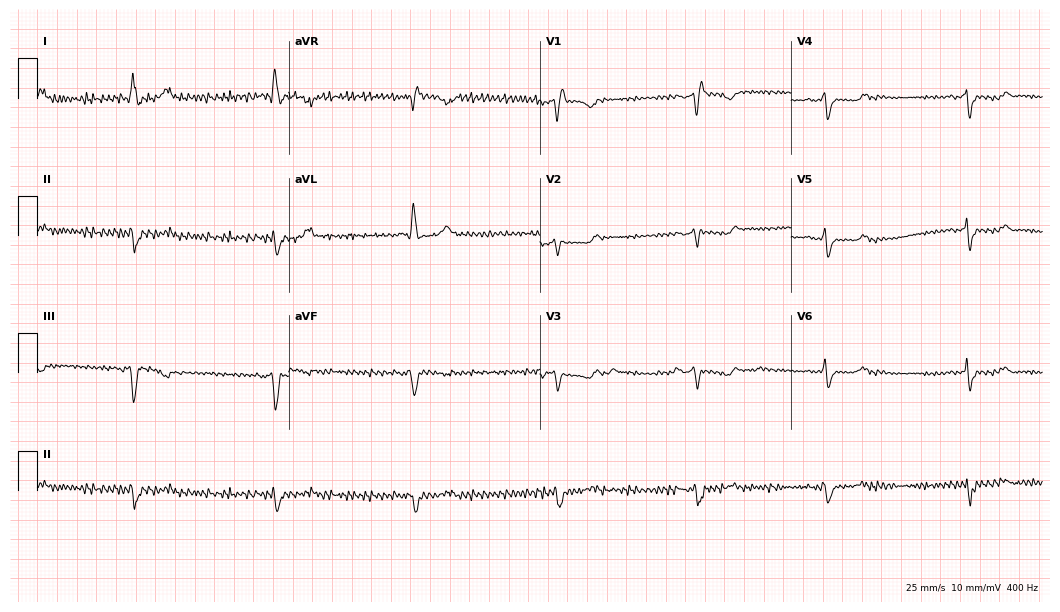
12-lead ECG from a female patient, 70 years old. Screened for six findings — first-degree AV block, right bundle branch block (RBBB), left bundle branch block (LBBB), sinus bradycardia, atrial fibrillation (AF), sinus tachycardia — none is recorded.